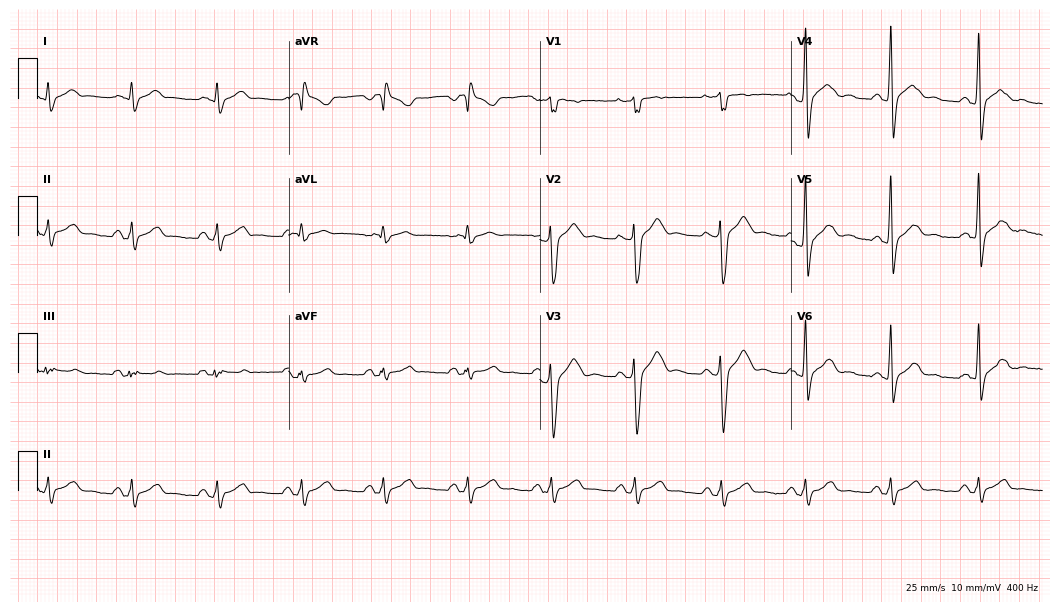
Standard 12-lead ECG recorded from a 41-year-old man. None of these six findings is recorded: first-degree AV block, right bundle branch block, left bundle branch block, sinus bradycardia, atrial fibrillation, sinus tachycardia. Other findings, if any, are not listed.